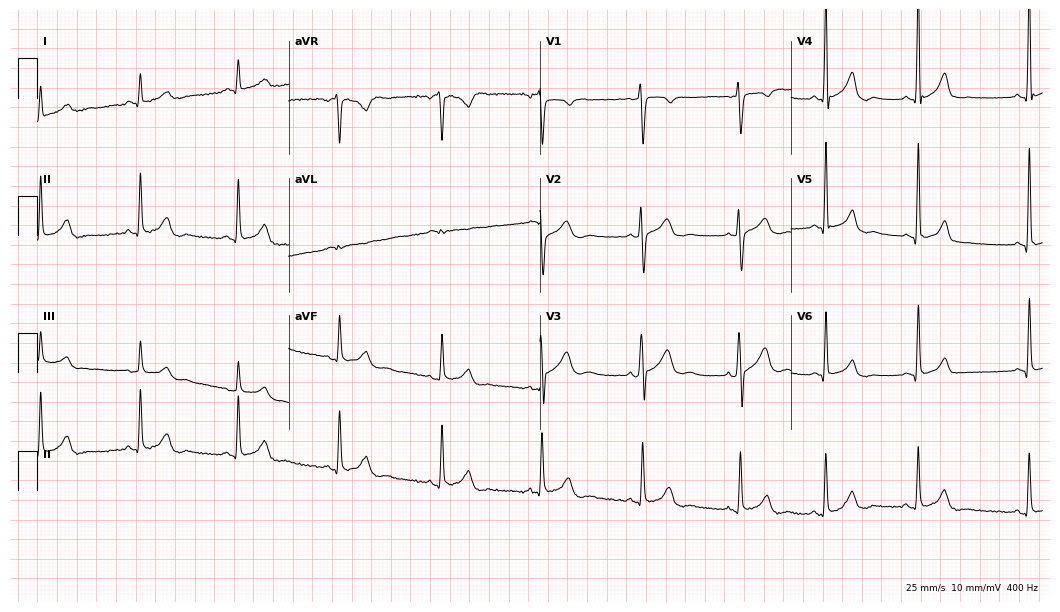
12-lead ECG from a man, 24 years old. Labelled as a normal ECG.